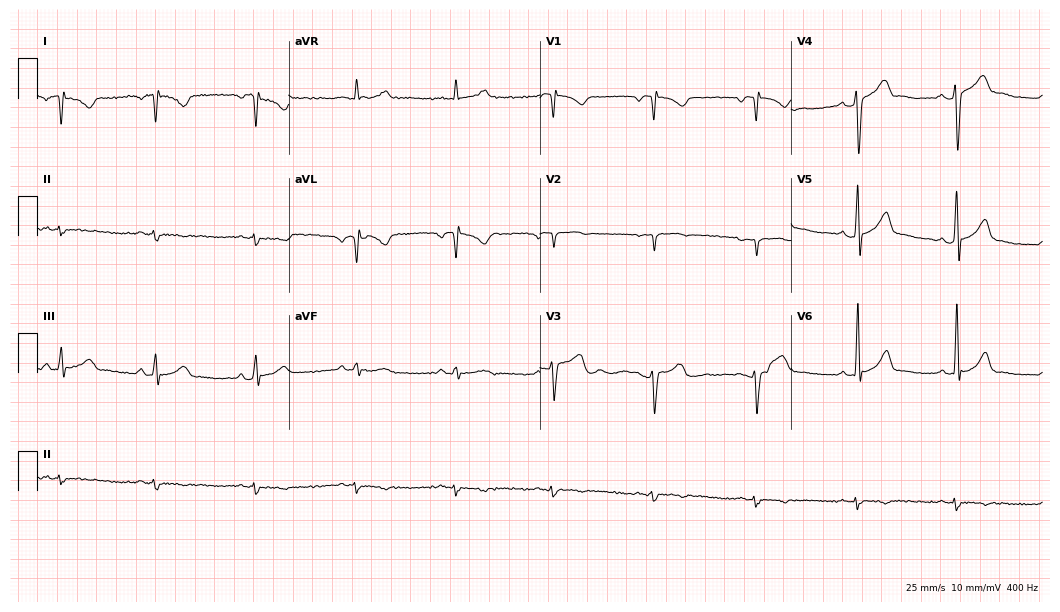
Electrocardiogram (10.2-second recording at 400 Hz), a 26-year-old man. Of the six screened findings (first-degree AV block, right bundle branch block, left bundle branch block, sinus bradycardia, atrial fibrillation, sinus tachycardia), none is recorded. Only these six findings were labelled.